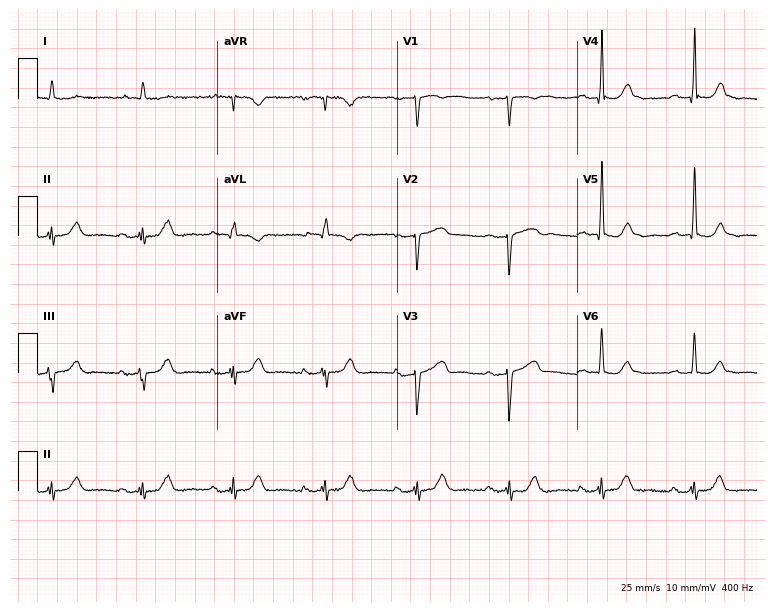
Standard 12-lead ECG recorded from a male patient, 79 years old. Read as a normal ECG.